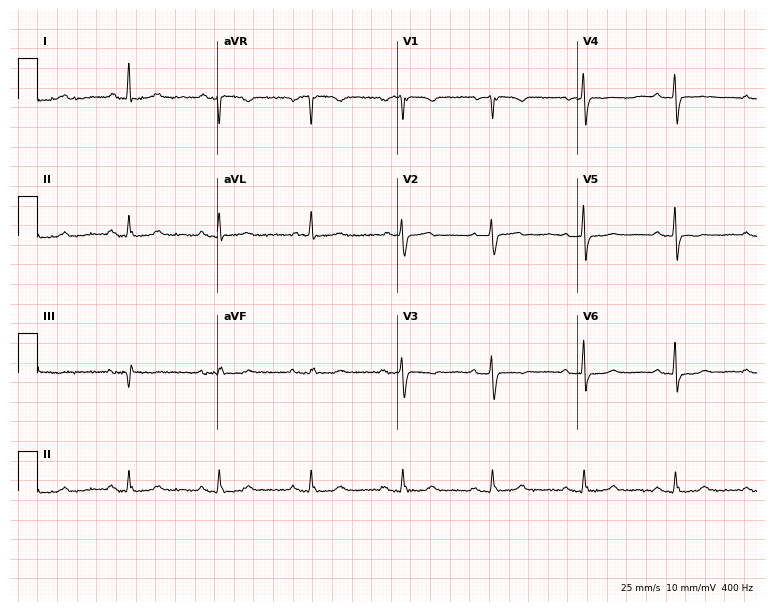
Standard 12-lead ECG recorded from an 83-year-old female patient (7.3-second recording at 400 Hz). None of these six findings is recorded: first-degree AV block, right bundle branch block, left bundle branch block, sinus bradycardia, atrial fibrillation, sinus tachycardia. Only these six findings were labelled.